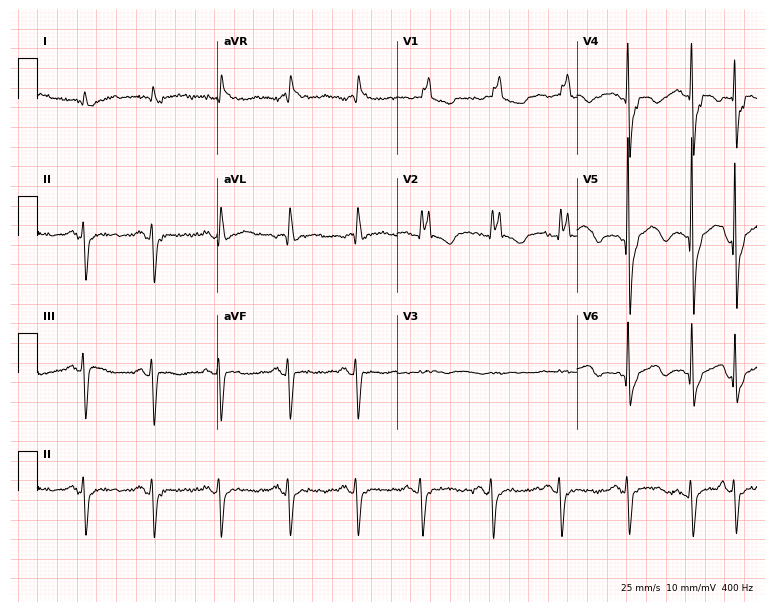
Electrocardiogram (7.3-second recording at 400 Hz), a man, 75 years old. Interpretation includes right bundle branch block.